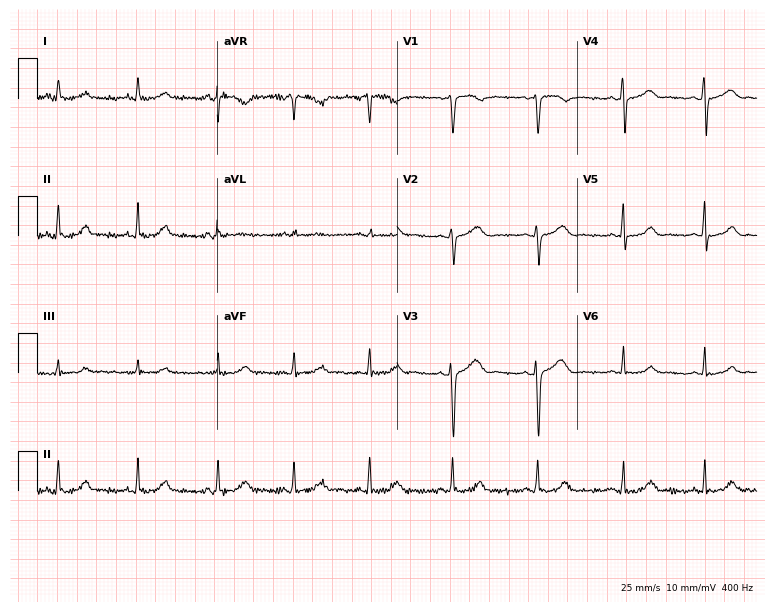
Standard 12-lead ECG recorded from a female patient, 37 years old. Read as a normal ECG.